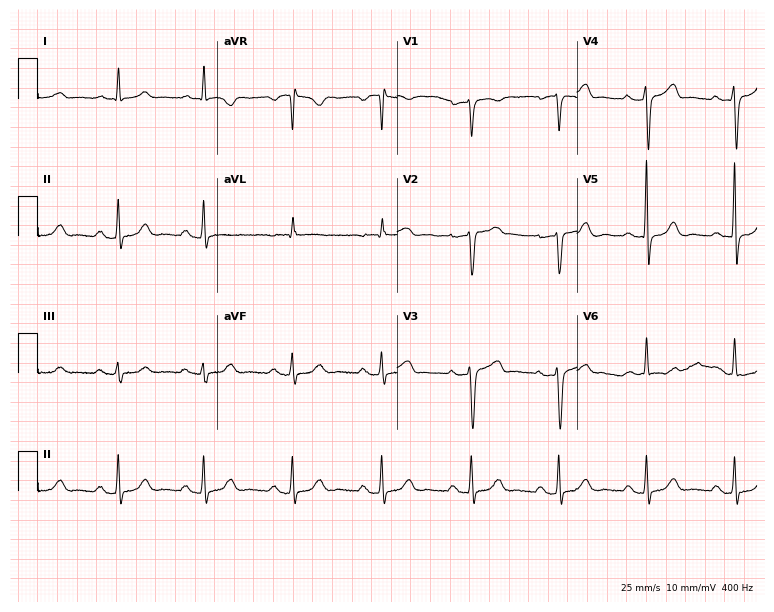
Resting 12-lead electrocardiogram (7.3-second recording at 400 Hz). Patient: a female, 71 years old. Read as a normal ECG.